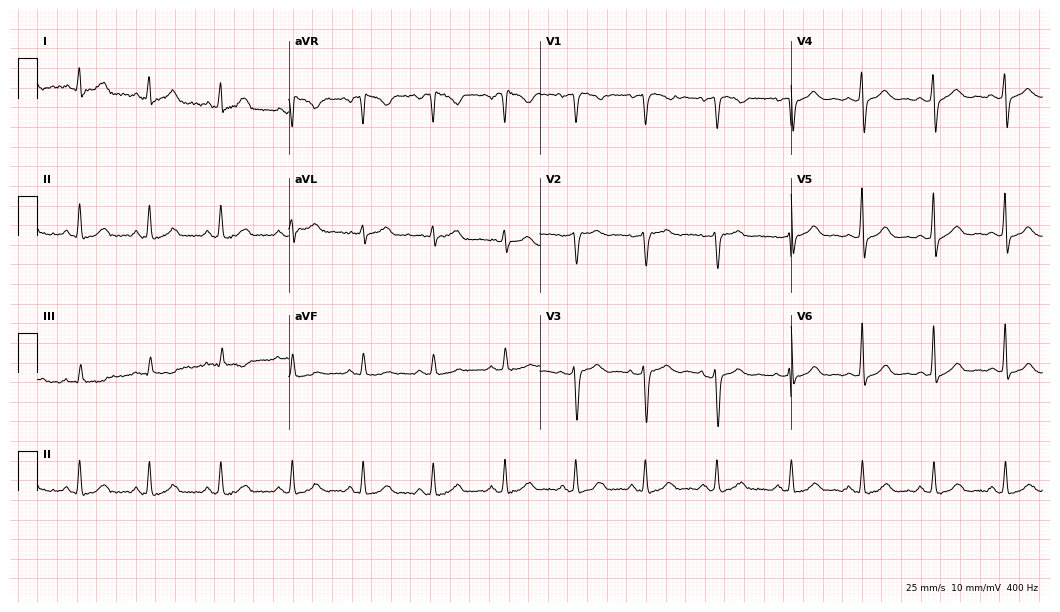
Standard 12-lead ECG recorded from a 40-year-old female patient. None of these six findings is recorded: first-degree AV block, right bundle branch block, left bundle branch block, sinus bradycardia, atrial fibrillation, sinus tachycardia.